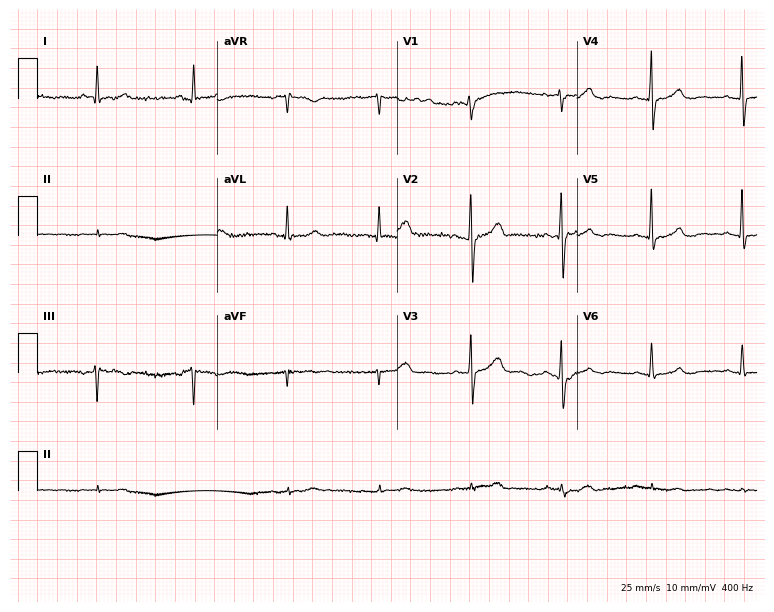
Electrocardiogram (7.3-second recording at 400 Hz), a 46-year-old man. Overall reading on record: normal ECG.